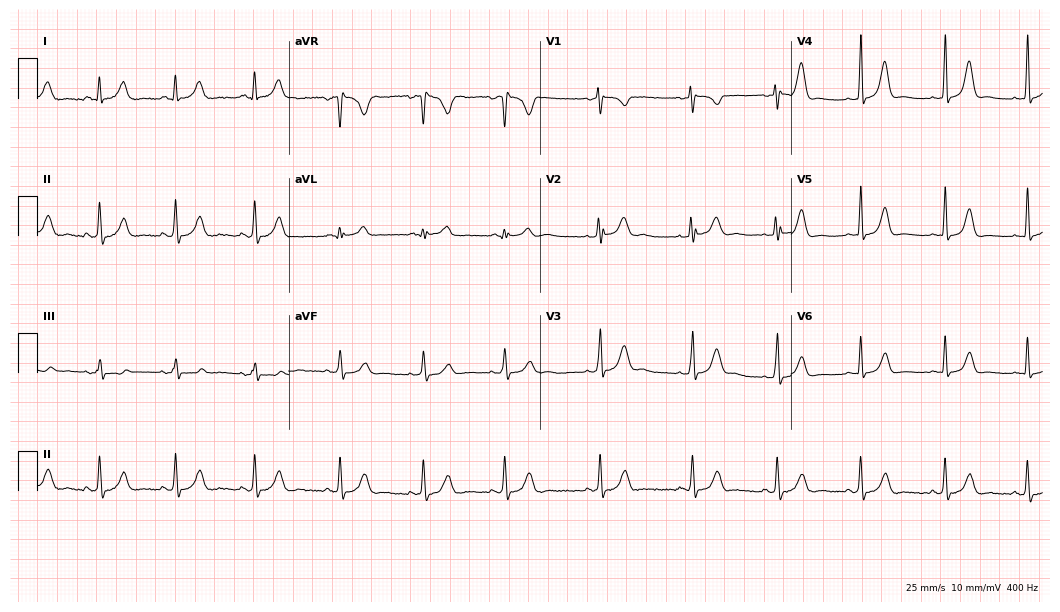
12-lead ECG from a female, 26 years old (10.2-second recording at 400 Hz). Recorded interpretation: within normal limits.